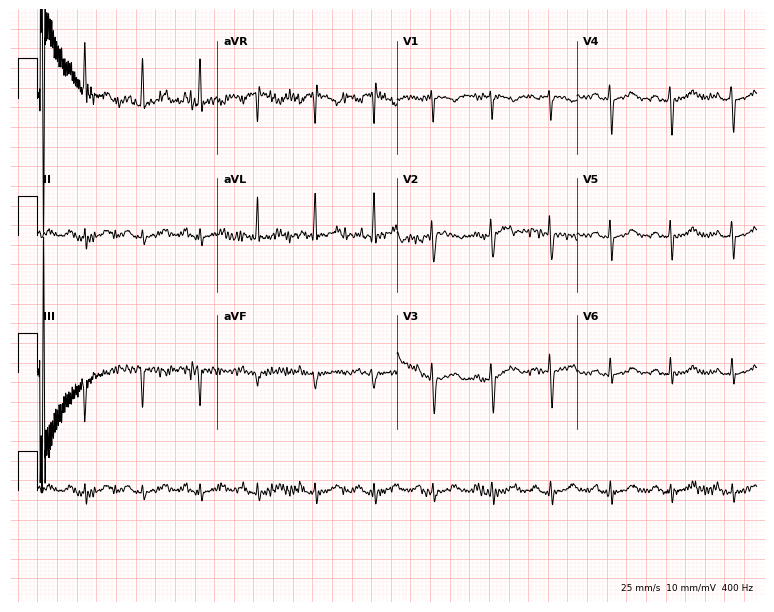
Resting 12-lead electrocardiogram (7.3-second recording at 400 Hz). Patient: a 42-year-old woman. None of these six findings is recorded: first-degree AV block, right bundle branch block, left bundle branch block, sinus bradycardia, atrial fibrillation, sinus tachycardia.